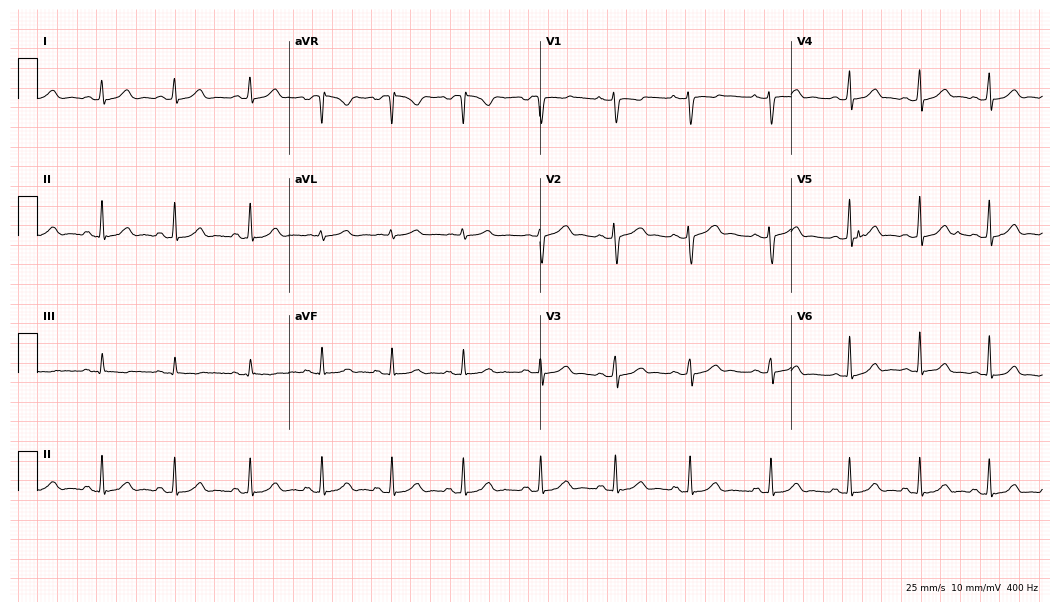
12-lead ECG (10.2-second recording at 400 Hz) from a 19-year-old female patient. Labelled as a normal ECG.